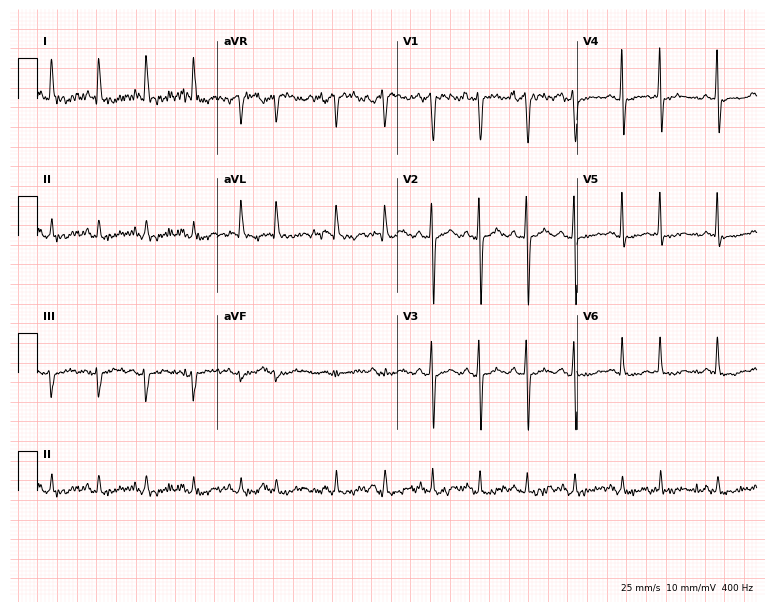
Resting 12-lead electrocardiogram. Patient: a 59-year-old female. The tracing shows sinus tachycardia (a sinus rate of 100 beats per minute or more).